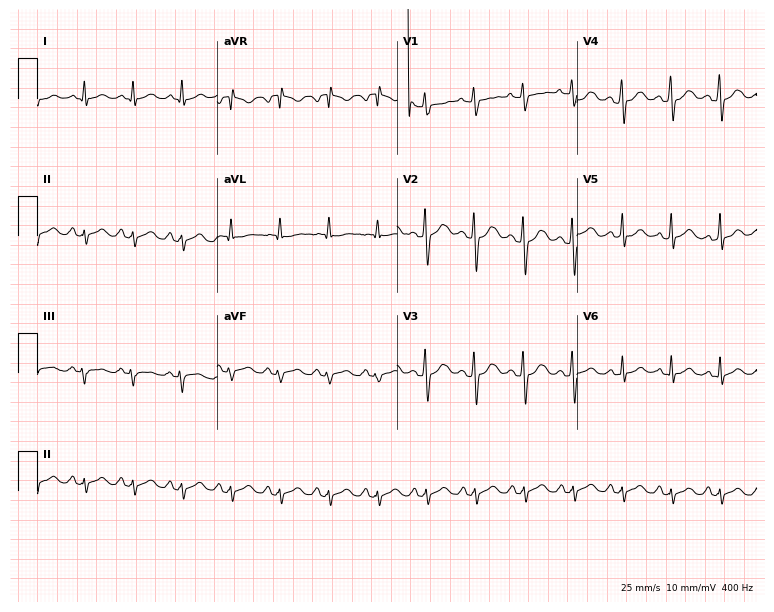
Standard 12-lead ECG recorded from a male, 26 years old (7.3-second recording at 400 Hz). The tracing shows sinus tachycardia (a sinus rate of 100 beats per minute or more).